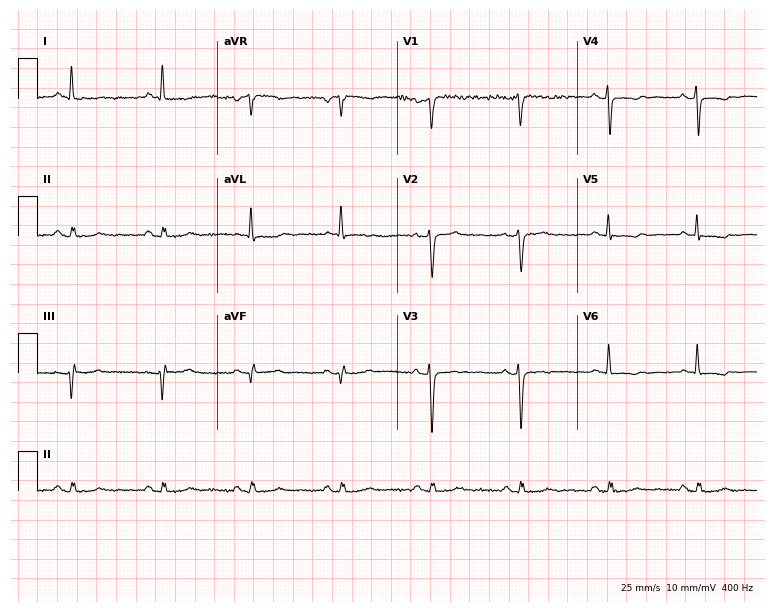
ECG (7.3-second recording at 400 Hz) — a female, 60 years old. Screened for six findings — first-degree AV block, right bundle branch block, left bundle branch block, sinus bradycardia, atrial fibrillation, sinus tachycardia — none is recorded.